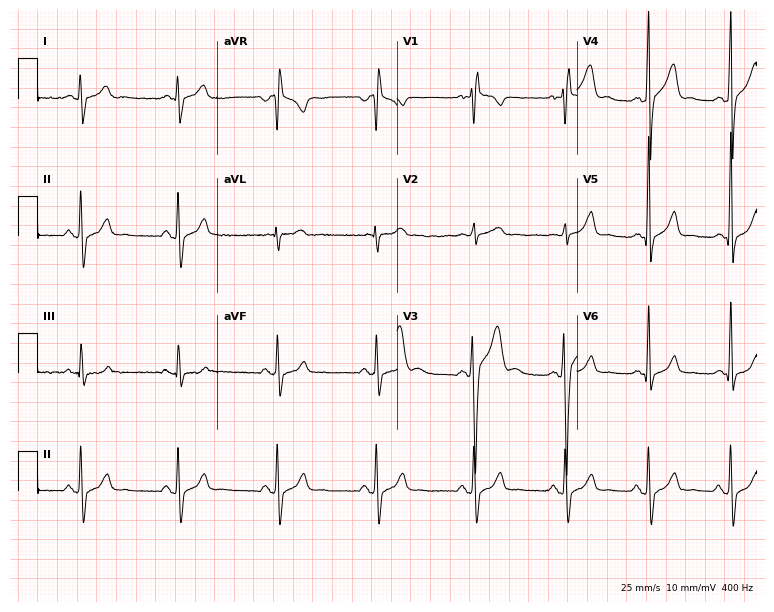
ECG — a 19-year-old man. Screened for six findings — first-degree AV block, right bundle branch block, left bundle branch block, sinus bradycardia, atrial fibrillation, sinus tachycardia — none is recorded. Findings outside these six are not listed.